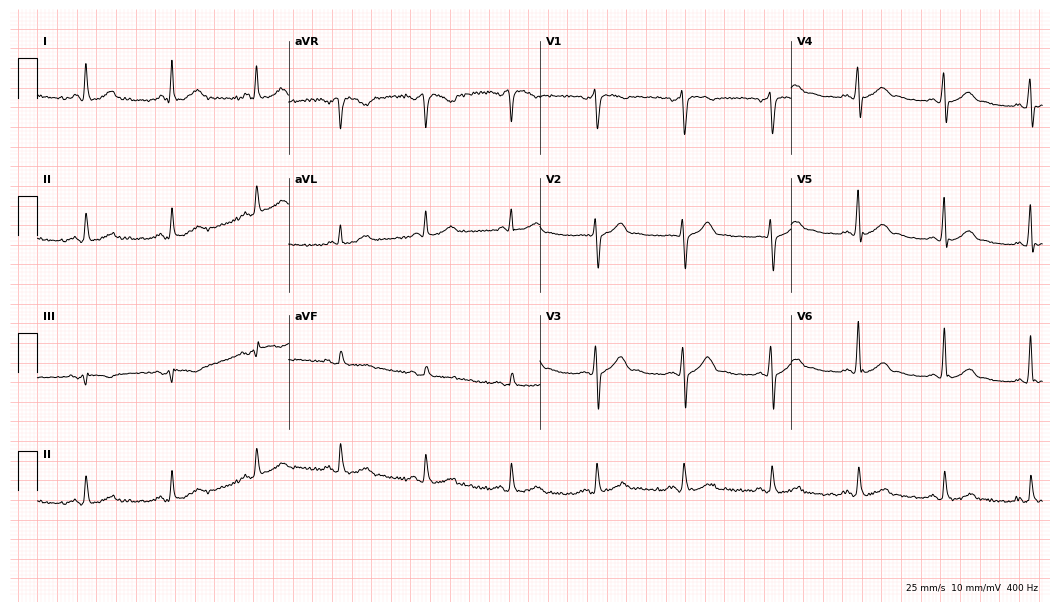
Resting 12-lead electrocardiogram. Patient: a 52-year-old male. Read as a normal ECG.